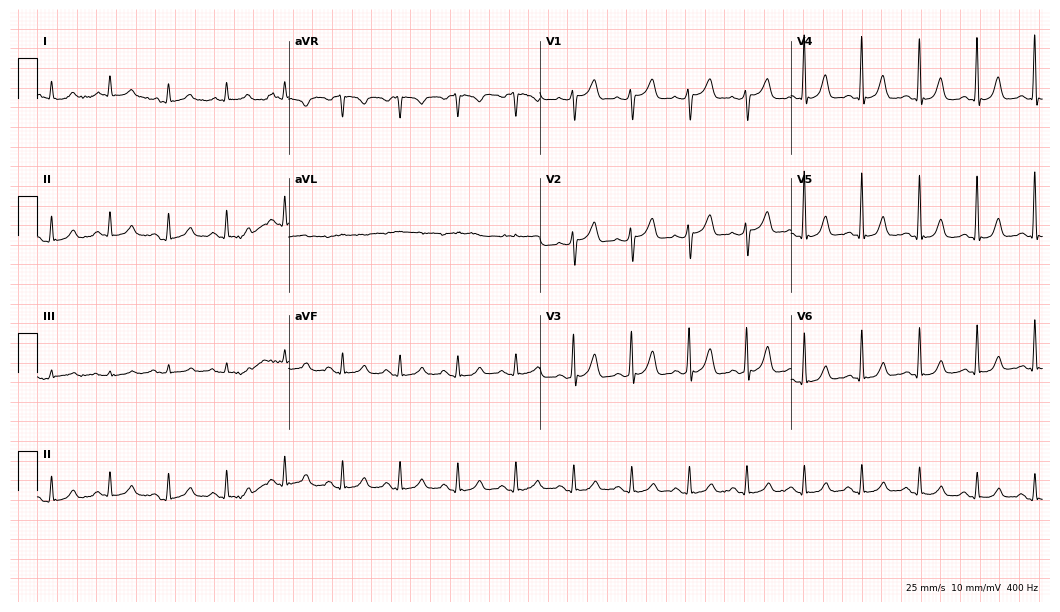
ECG (10.2-second recording at 400 Hz) — a male, 73 years old. Findings include sinus tachycardia (a sinus rate of 100 beats per minute or more).